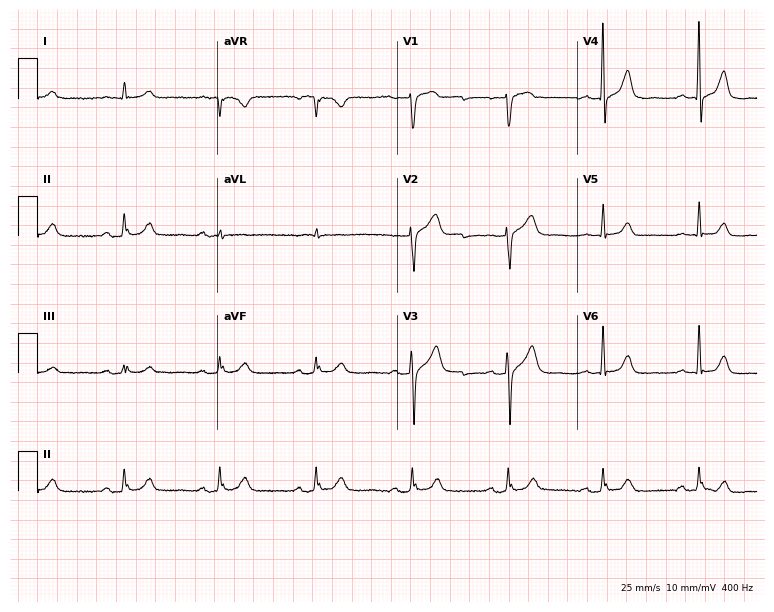
Standard 12-lead ECG recorded from a 73-year-old male (7.3-second recording at 400 Hz). Read as a normal ECG.